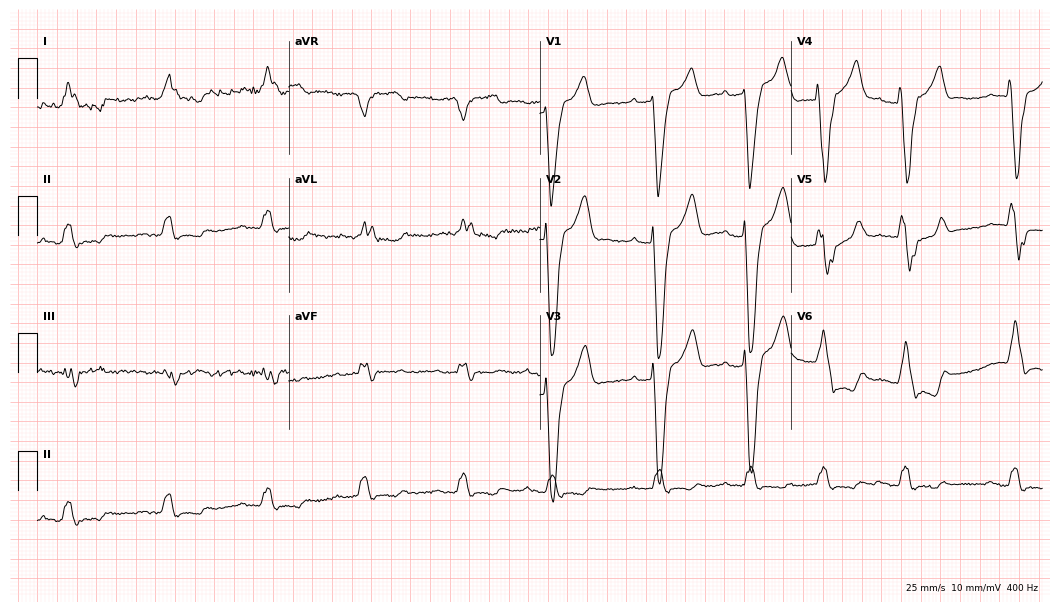
ECG (10.2-second recording at 400 Hz) — a male, 81 years old. Findings include first-degree AV block, left bundle branch block.